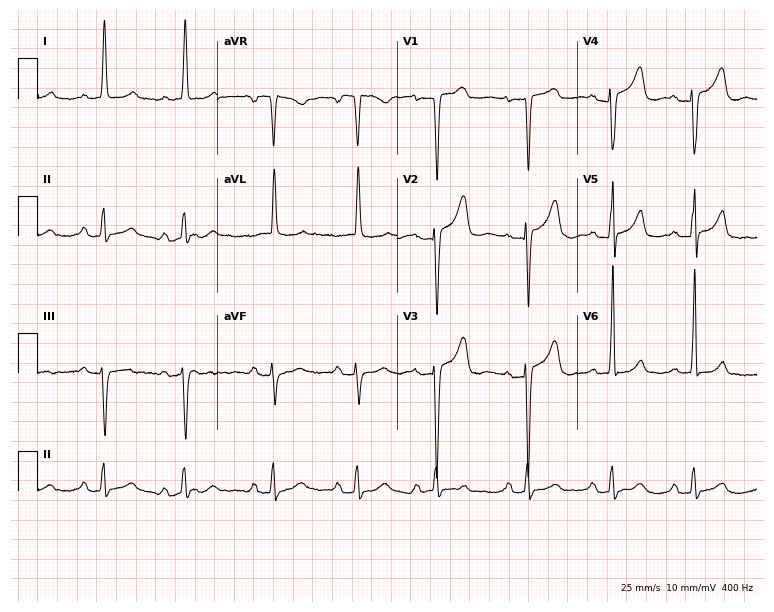
ECG (7.3-second recording at 400 Hz) — a woman, 83 years old. Labelled as a normal ECG.